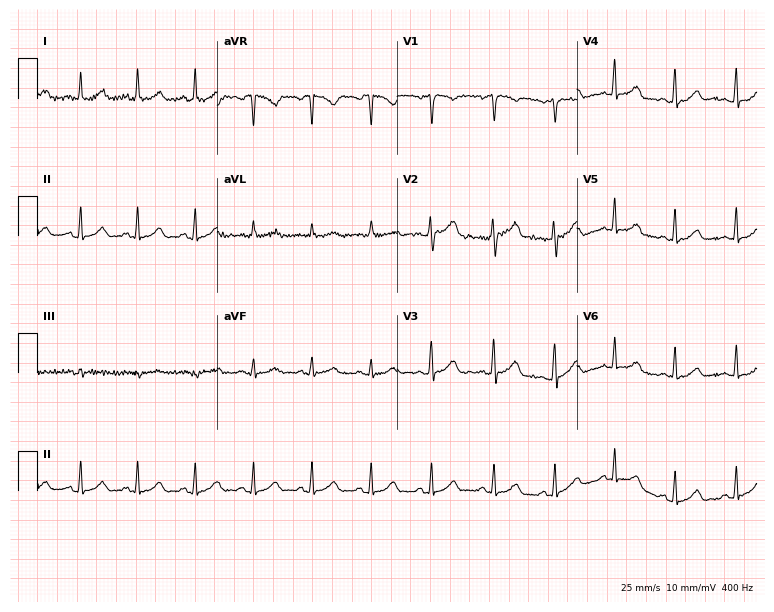
ECG (7.3-second recording at 400 Hz) — a 42-year-old woman. Screened for six findings — first-degree AV block, right bundle branch block, left bundle branch block, sinus bradycardia, atrial fibrillation, sinus tachycardia — none is recorded. Findings outside these six are not listed.